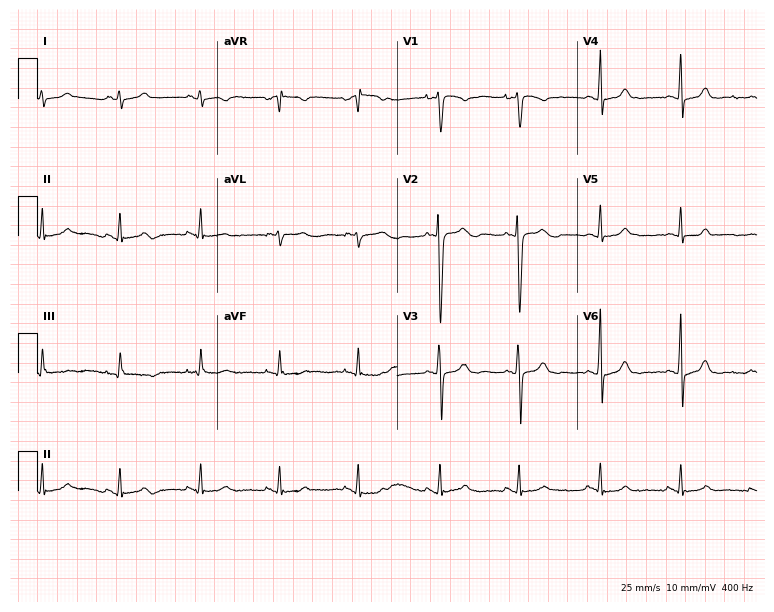
12-lead ECG from a female, 23 years old. Recorded interpretation: within normal limits.